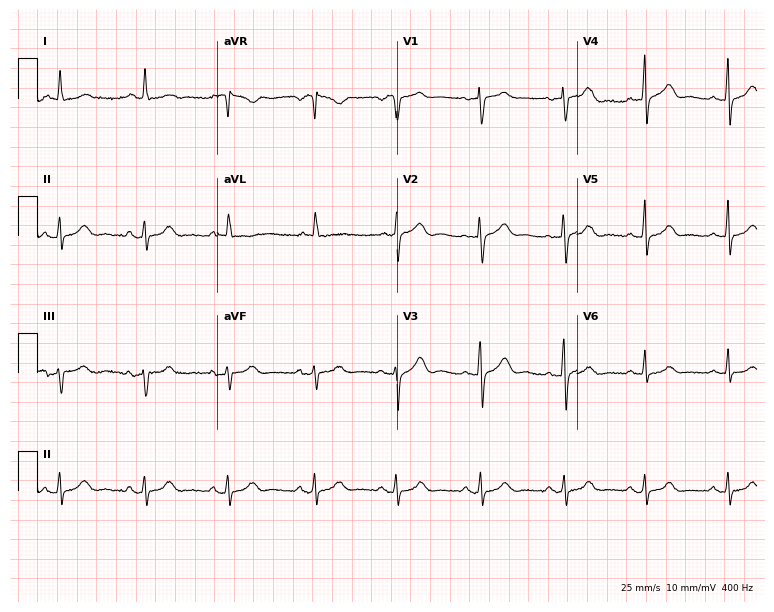
12-lead ECG (7.3-second recording at 400 Hz) from an 81-year-old woman. Labelled as a normal ECG.